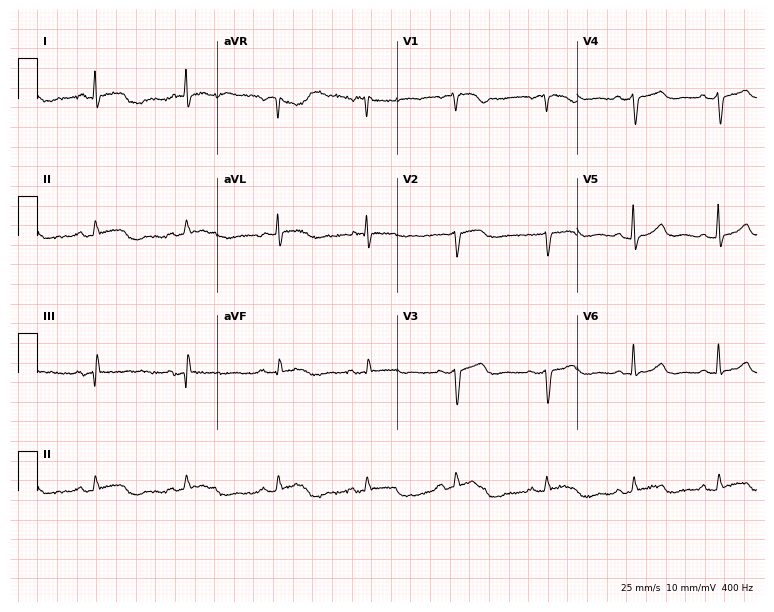
12-lead ECG from an 81-year-old female. Screened for six findings — first-degree AV block, right bundle branch block (RBBB), left bundle branch block (LBBB), sinus bradycardia, atrial fibrillation (AF), sinus tachycardia — none is recorded.